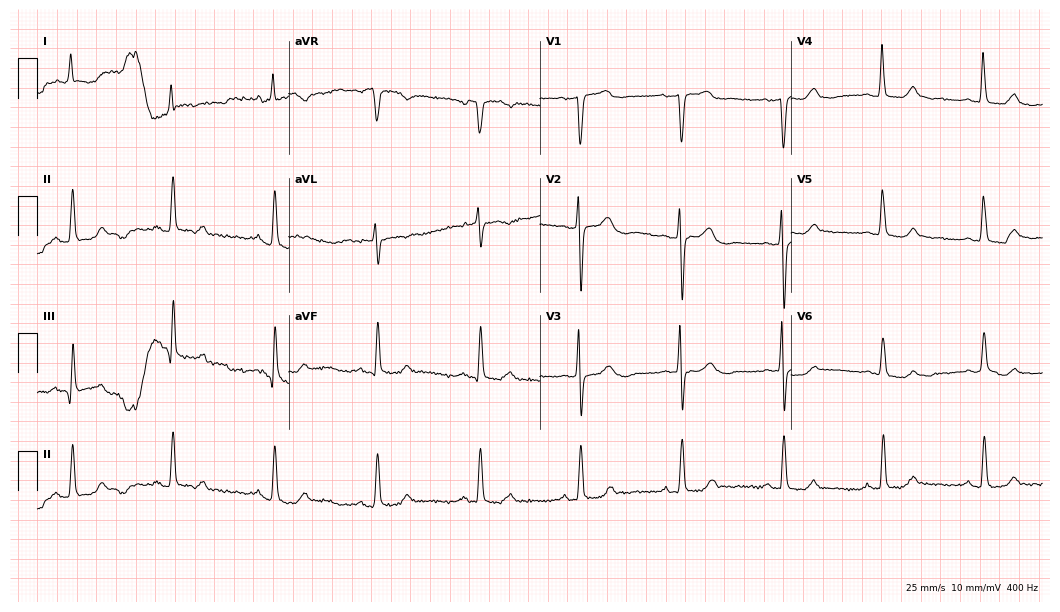
ECG — a 69-year-old woman. Screened for six findings — first-degree AV block, right bundle branch block (RBBB), left bundle branch block (LBBB), sinus bradycardia, atrial fibrillation (AF), sinus tachycardia — none is recorded. Other findings, if any, are not listed.